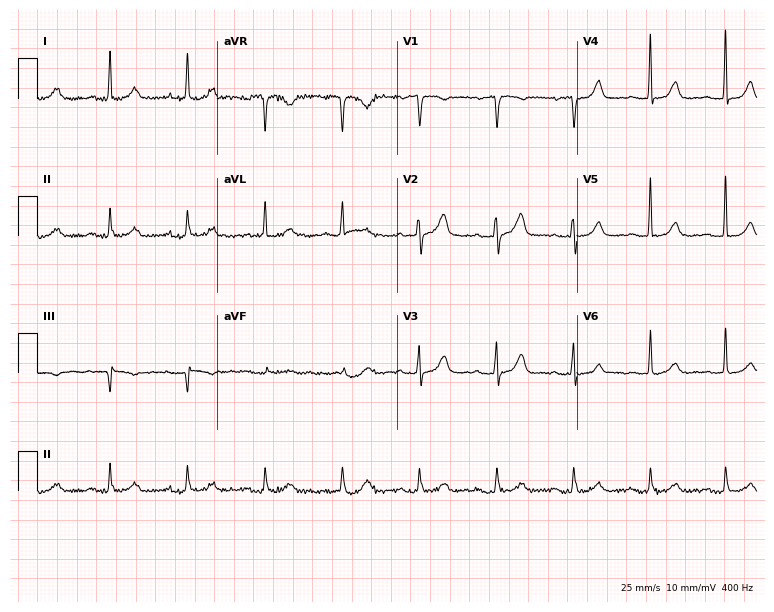
Resting 12-lead electrocardiogram. Patient: an 80-year-old woman. Read as a normal ECG.